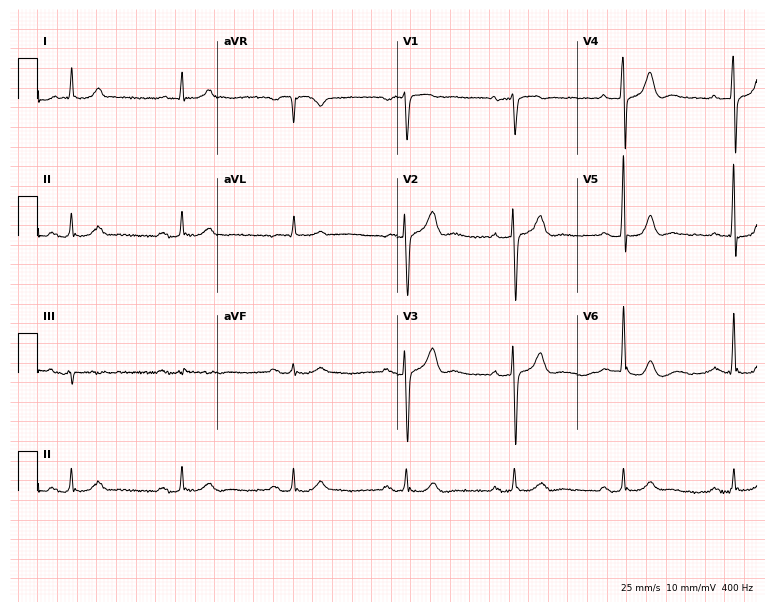
12-lead ECG from a 76-year-old male. Shows first-degree AV block.